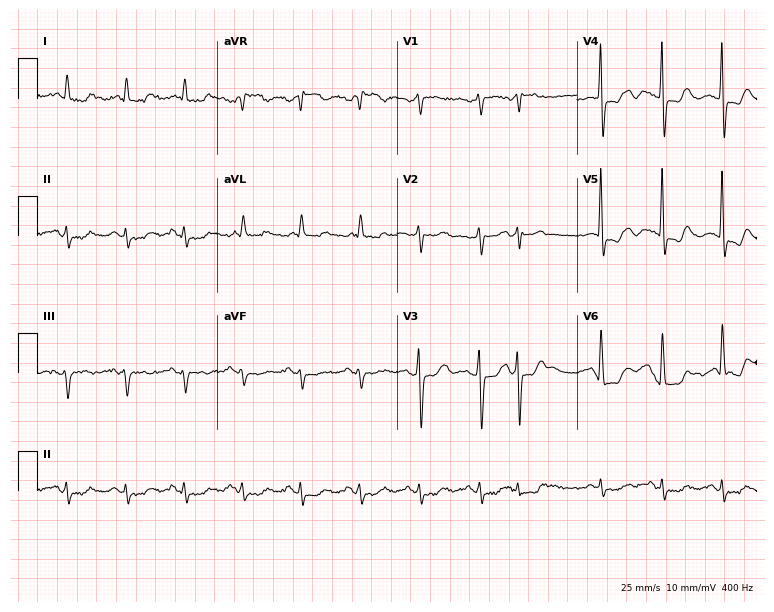
12-lead ECG (7.3-second recording at 400 Hz) from an 83-year-old woman. Screened for six findings — first-degree AV block, right bundle branch block, left bundle branch block, sinus bradycardia, atrial fibrillation, sinus tachycardia — none is recorded.